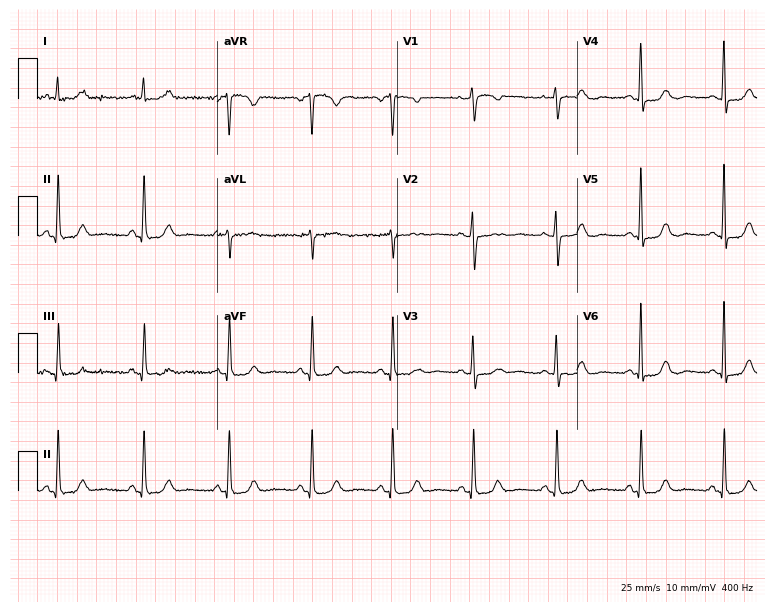
ECG (7.3-second recording at 400 Hz) — a 47-year-old woman. Labelled as a normal ECG.